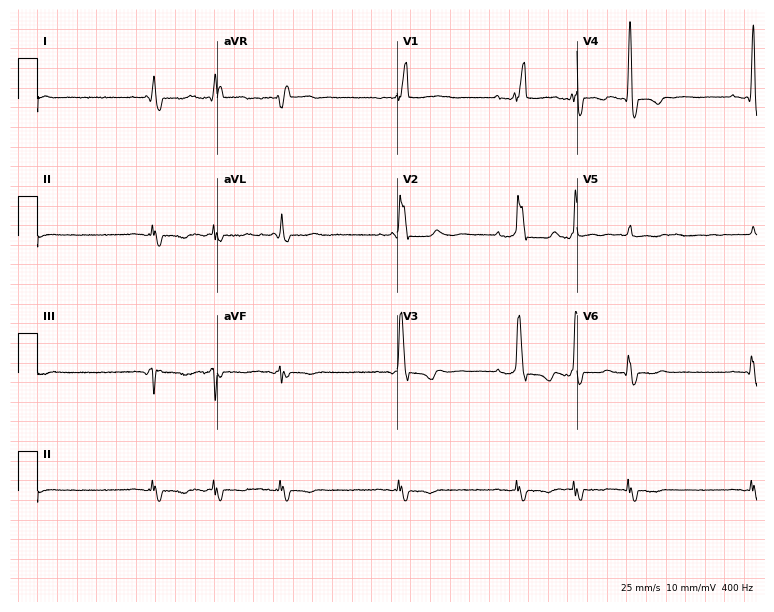
Electrocardiogram, a male patient, 85 years old. Of the six screened findings (first-degree AV block, right bundle branch block, left bundle branch block, sinus bradycardia, atrial fibrillation, sinus tachycardia), none is recorded. Only these six findings were labelled.